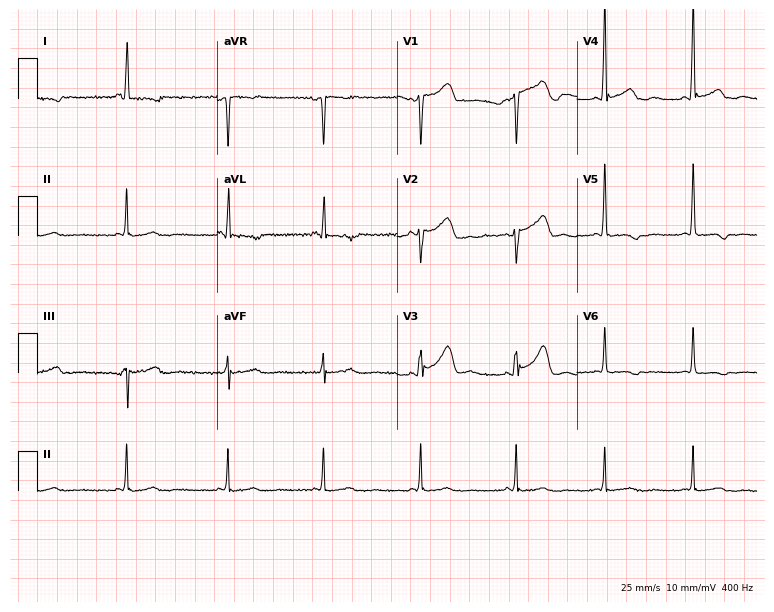
Electrocardiogram, a 62-year-old female patient. Of the six screened findings (first-degree AV block, right bundle branch block (RBBB), left bundle branch block (LBBB), sinus bradycardia, atrial fibrillation (AF), sinus tachycardia), none is recorded. Other findings, if any, are not listed.